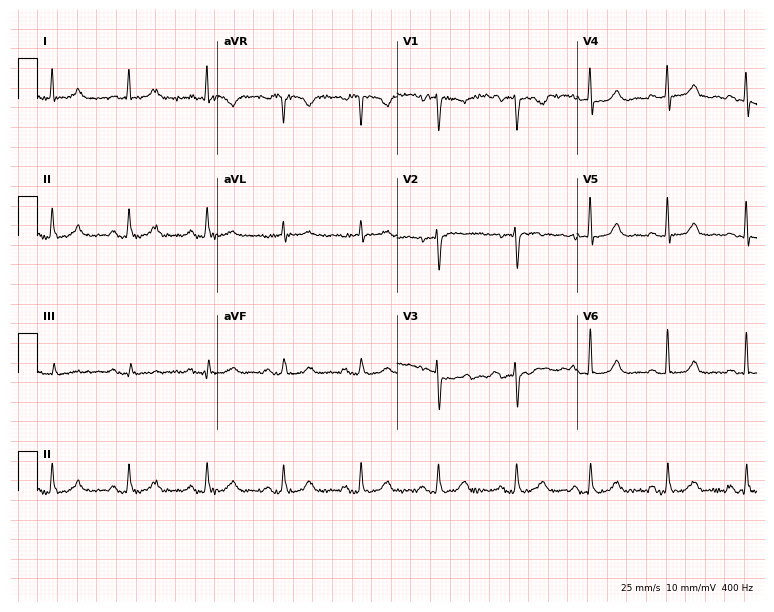
12-lead ECG (7.3-second recording at 400 Hz) from a 57-year-old woman. Screened for six findings — first-degree AV block, right bundle branch block, left bundle branch block, sinus bradycardia, atrial fibrillation, sinus tachycardia — none is recorded. Other findings, if any, are not listed.